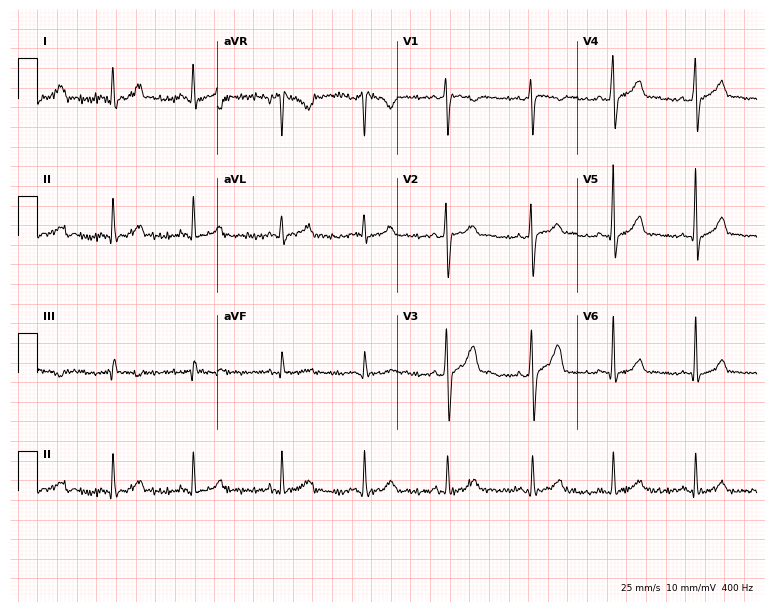
Standard 12-lead ECG recorded from a 23-year-old male patient (7.3-second recording at 400 Hz). Read as a normal ECG.